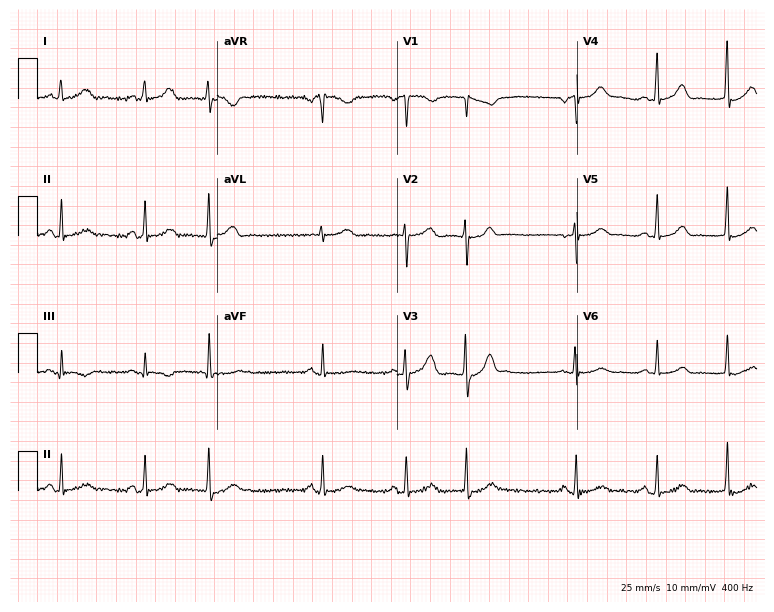
Standard 12-lead ECG recorded from a 51-year-old female patient. Read as a normal ECG.